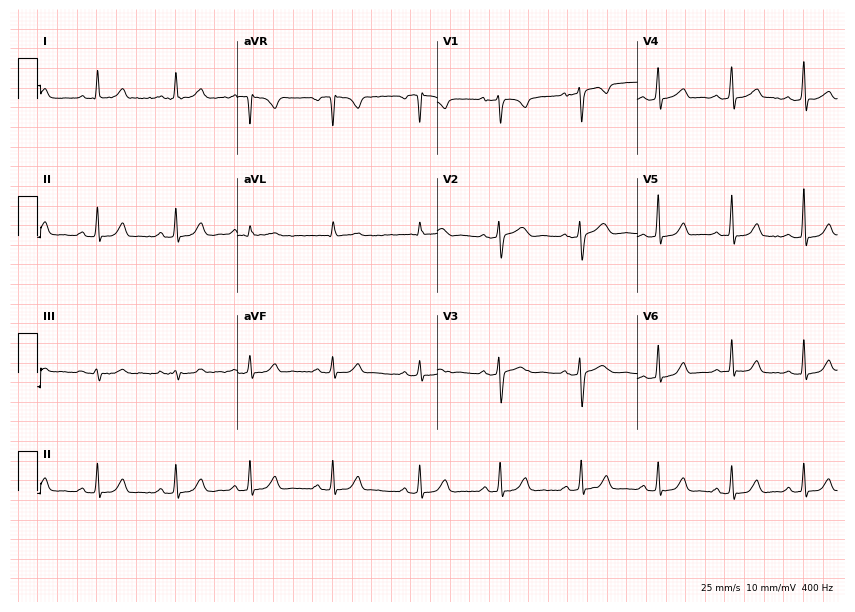
Electrocardiogram (8.2-second recording at 400 Hz), a 32-year-old female. Of the six screened findings (first-degree AV block, right bundle branch block, left bundle branch block, sinus bradycardia, atrial fibrillation, sinus tachycardia), none is recorded.